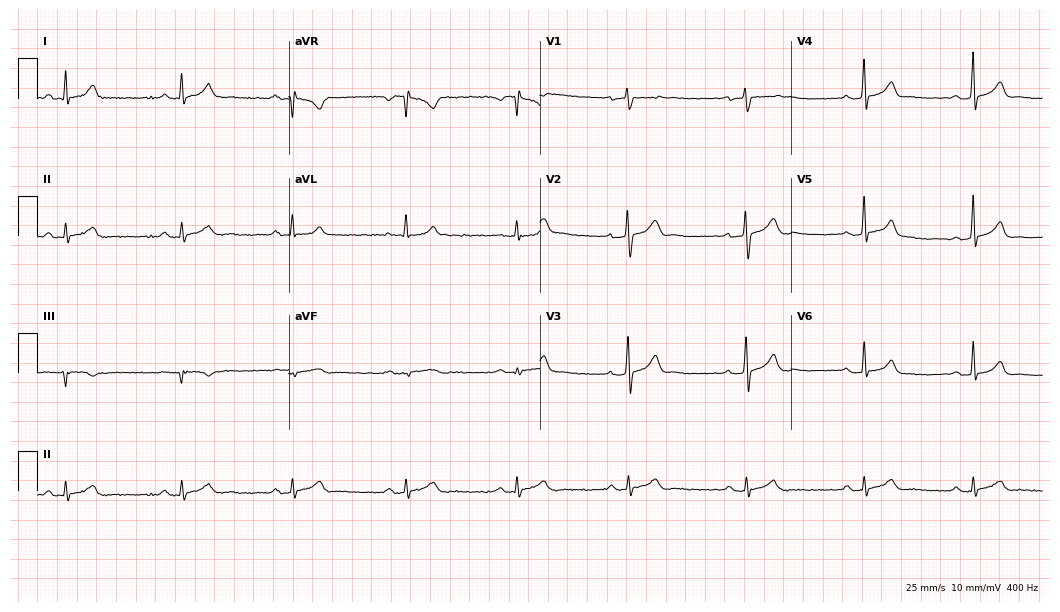
12-lead ECG from a man, 32 years old. Recorded interpretation: within normal limits.